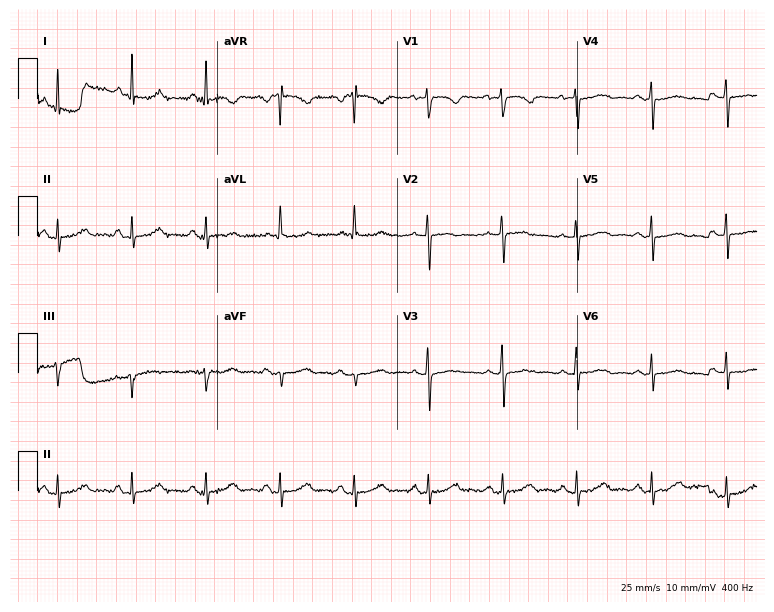
Electrocardiogram (7.3-second recording at 400 Hz), a female, 69 years old. Overall reading on record: normal ECG.